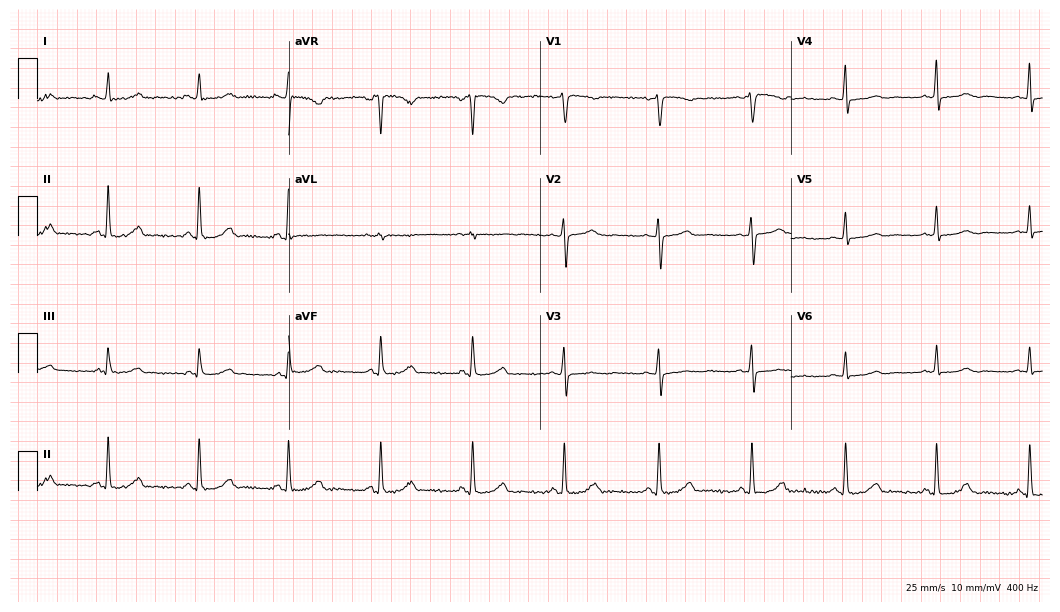
ECG (10.2-second recording at 400 Hz) — a 63-year-old woman. Labelled as a normal ECG.